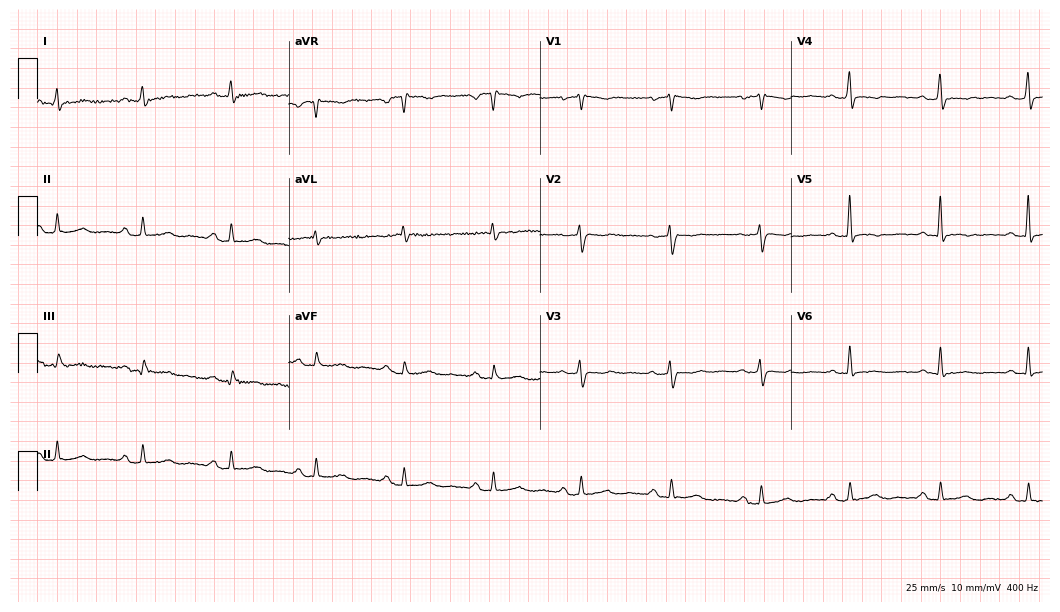
Electrocardiogram (10.2-second recording at 400 Hz), a 43-year-old woman. Overall reading on record: normal ECG.